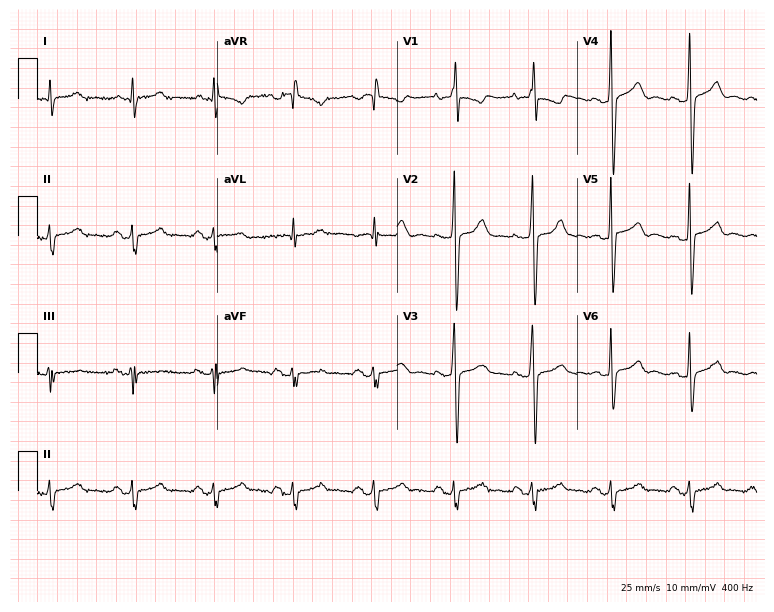
Resting 12-lead electrocardiogram. Patient: an 80-year-old male. None of these six findings is recorded: first-degree AV block, right bundle branch block, left bundle branch block, sinus bradycardia, atrial fibrillation, sinus tachycardia.